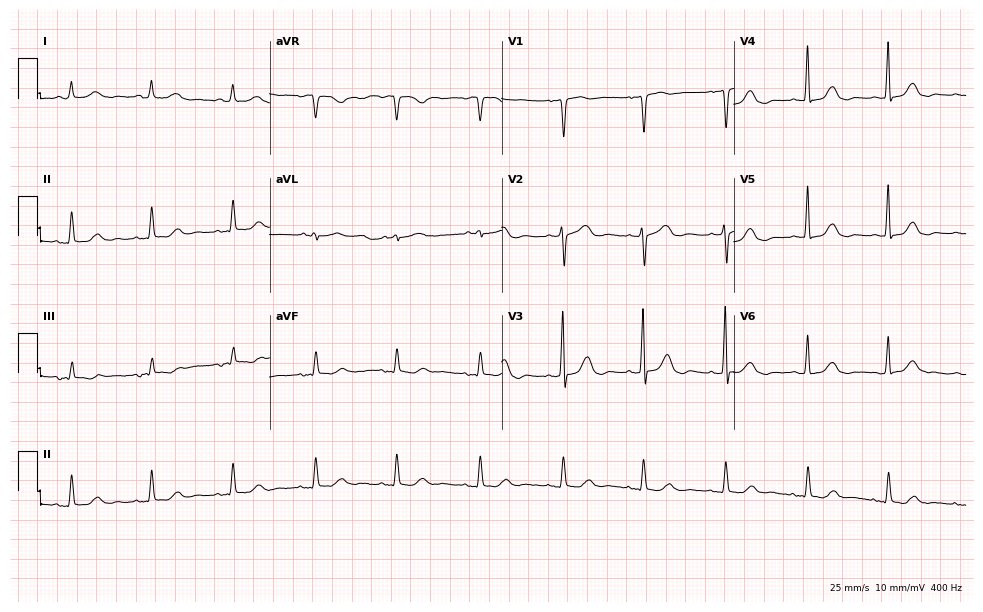
ECG (9.5-second recording at 400 Hz) — a 72-year-old woman. Labelled as a normal ECG.